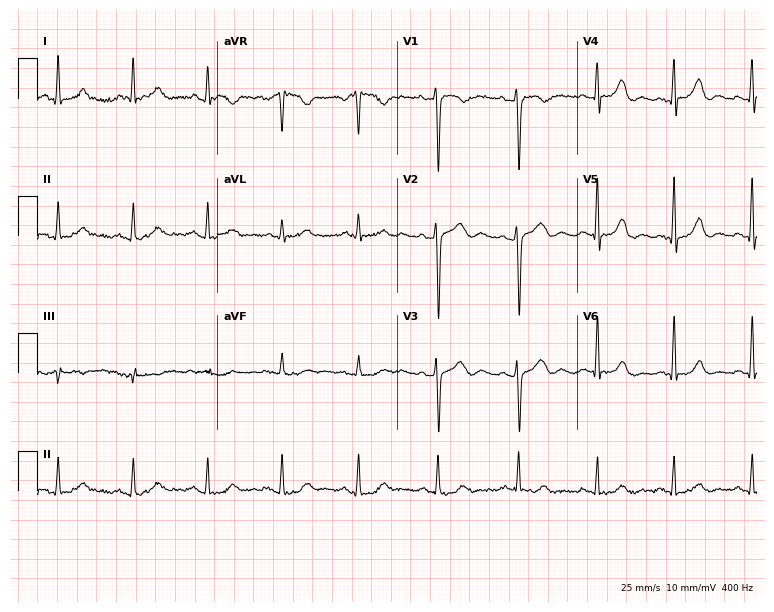
Standard 12-lead ECG recorded from a 37-year-old female patient (7.3-second recording at 400 Hz). Read as a normal ECG.